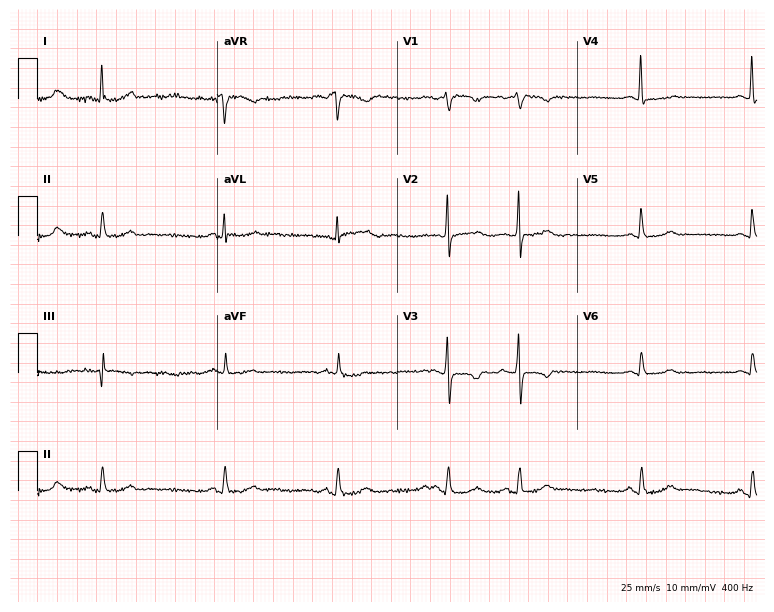
Resting 12-lead electrocardiogram. Patient: a 70-year-old female. None of these six findings is recorded: first-degree AV block, right bundle branch block, left bundle branch block, sinus bradycardia, atrial fibrillation, sinus tachycardia.